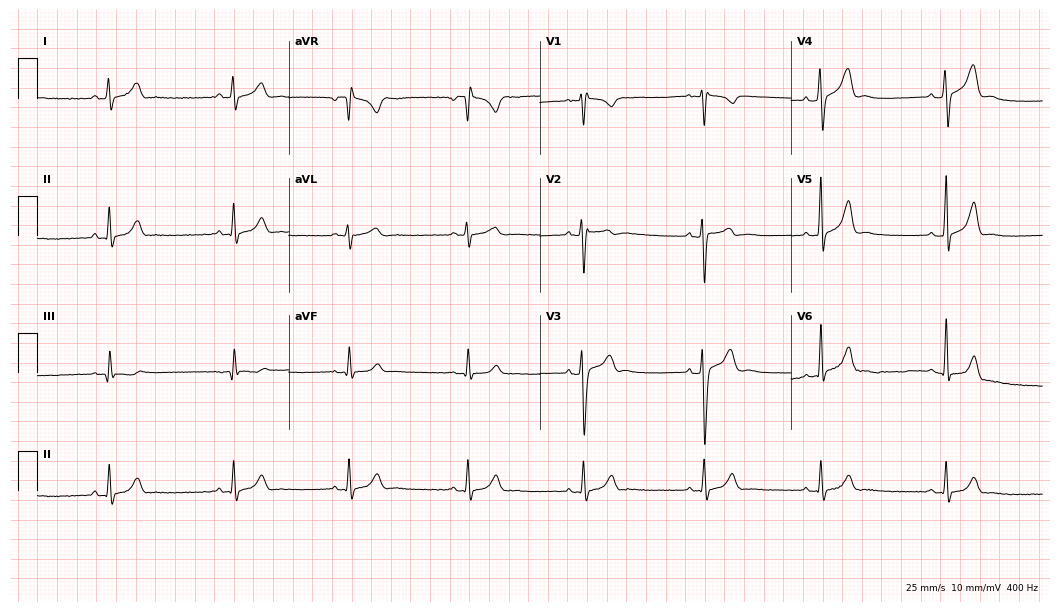
Standard 12-lead ECG recorded from a man, 27 years old. None of these six findings is recorded: first-degree AV block, right bundle branch block (RBBB), left bundle branch block (LBBB), sinus bradycardia, atrial fibrillation (AF), sinus tachycardia. Other findings, if any, are not listed.